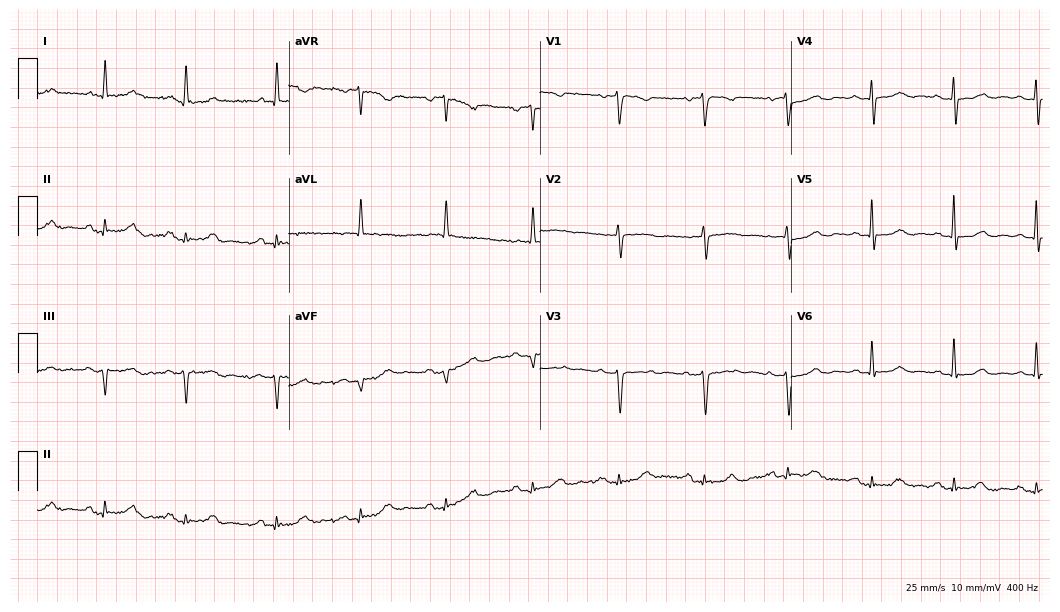
Standard 12-lead ECG recorded from an 84-year-old woman (10.2-second recording at 400 Hz). None of these six findings is recorded: first-degree AV block, right bundle branch block, left bundle branch block, sinus bradycardia, atrial fibrillation, sinus tachycardia.